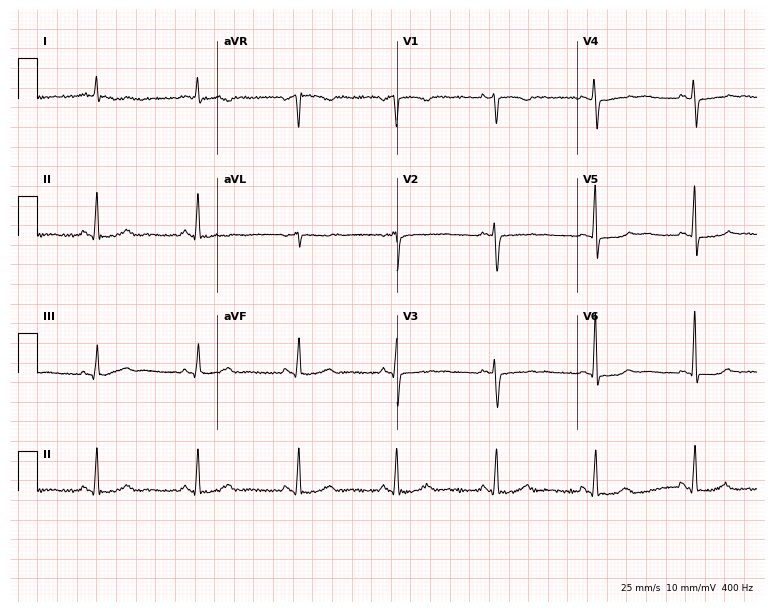
ECG — a 40-year-old female. Screened for six findings — first-degree AV block, right bundle branch block, left bundle branch block, sinus bradycardia, atrial fibrillation, sinus tachycardia — none is recorded.